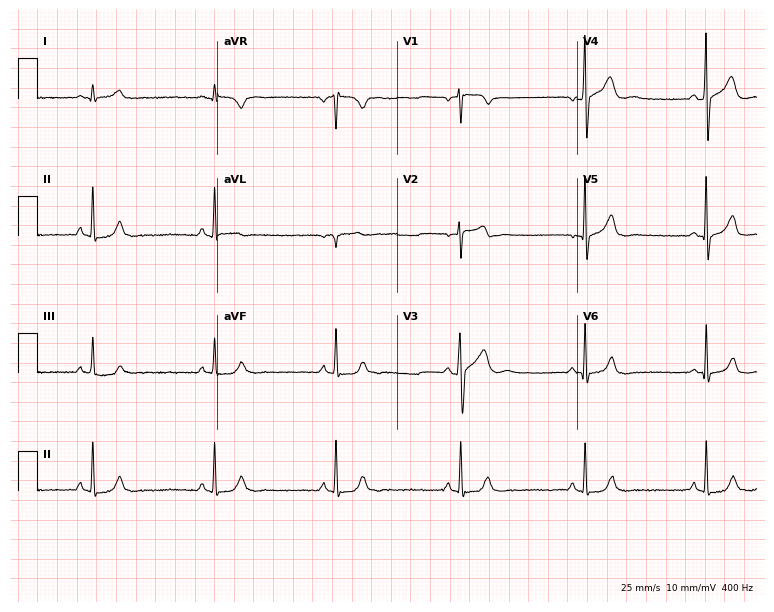
Resting 12-lead electrocardiogram. Patient: a 55-year-old male. None of these six findings is recorded: first-degree AV block, right bundle branch block, left bundle branch block, sinus bradycardia, atrial fibrillation, sinus tachycardia. Other findings, if any, are not listed.